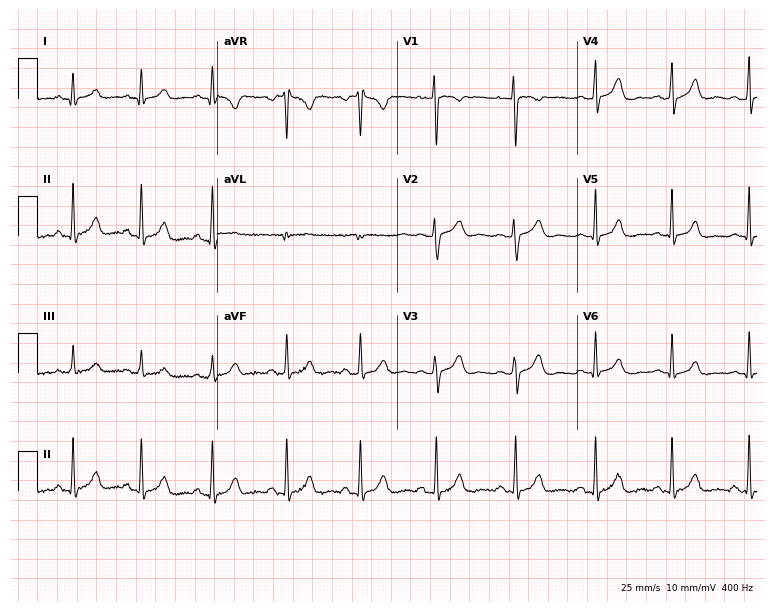
Resting 12-lead electrocardiogram. Patient: a female, 29 years old. None of these six findings is recorded: first-degree AV block, right bundle branch block, left bundle branch block, sinus bradycardia, atrial fibrillation, sinus tachycardia. Only these six findings were labelled.